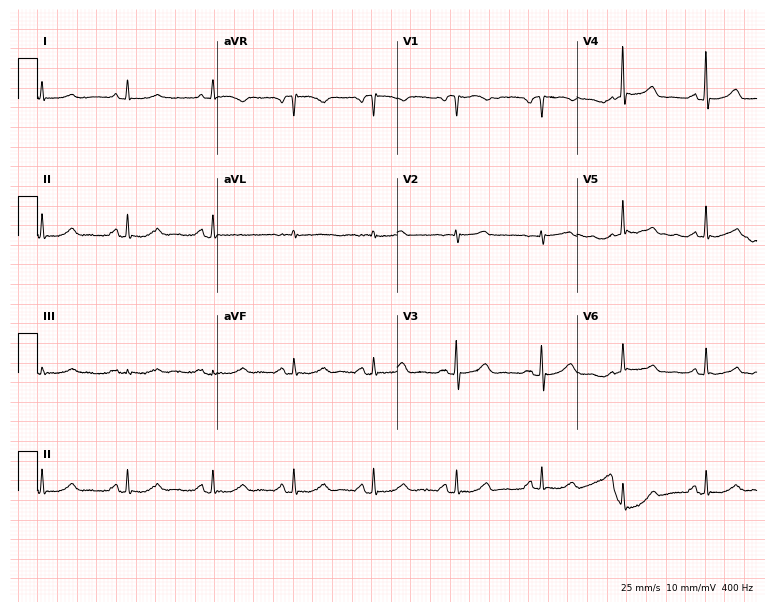
Resting 12-lead electrocardiogram (7.3-second recording at 400 Hz). Patient: a 66-year-old woman. Read as a normal ECG.